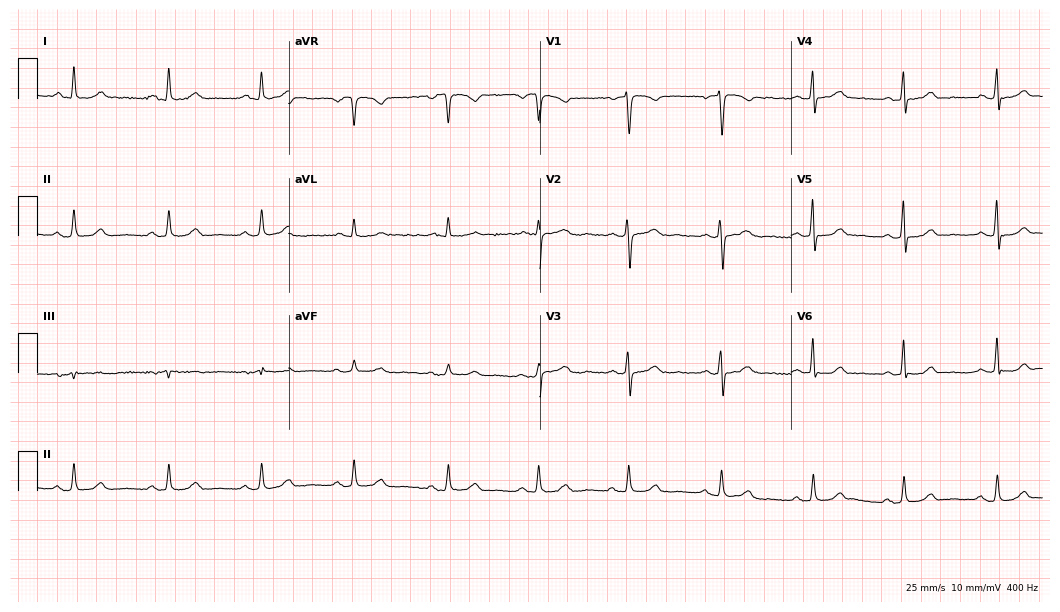
Electrocardiogram, a female patient, 55 years old. Of the six screened findings (first-degree AV block, right bundle branch block (RBBB), left bundle branch block (LBBB), sinus bradycardia, atrial fibrillation (AF), sinus tachycardia), none is recorded.